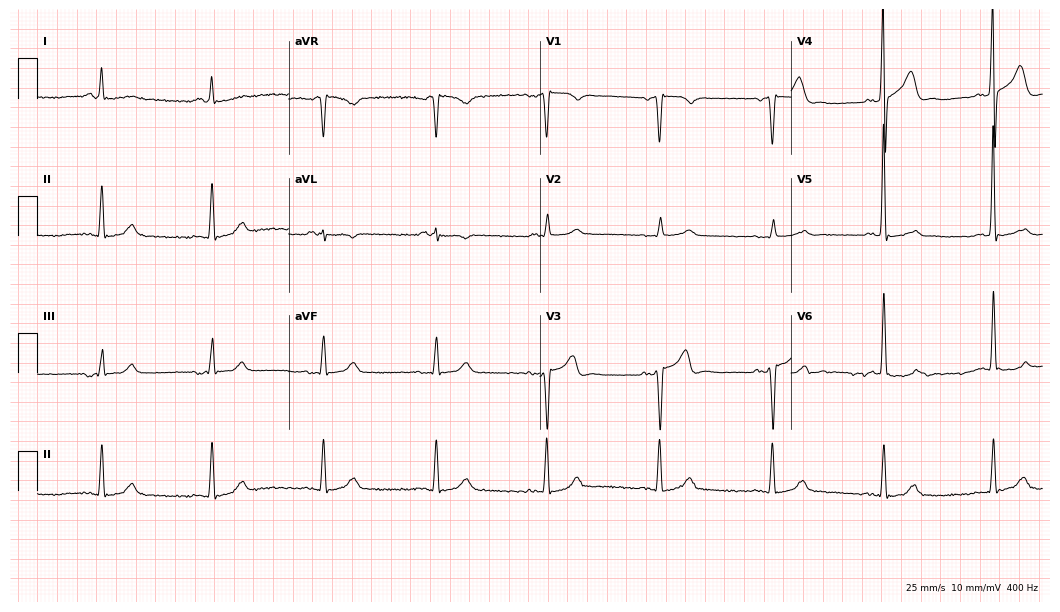
Electrocardiogram (10.2-second recording at 400 Hz), a man, 59 years old. Overall reading on record: normal ECG.